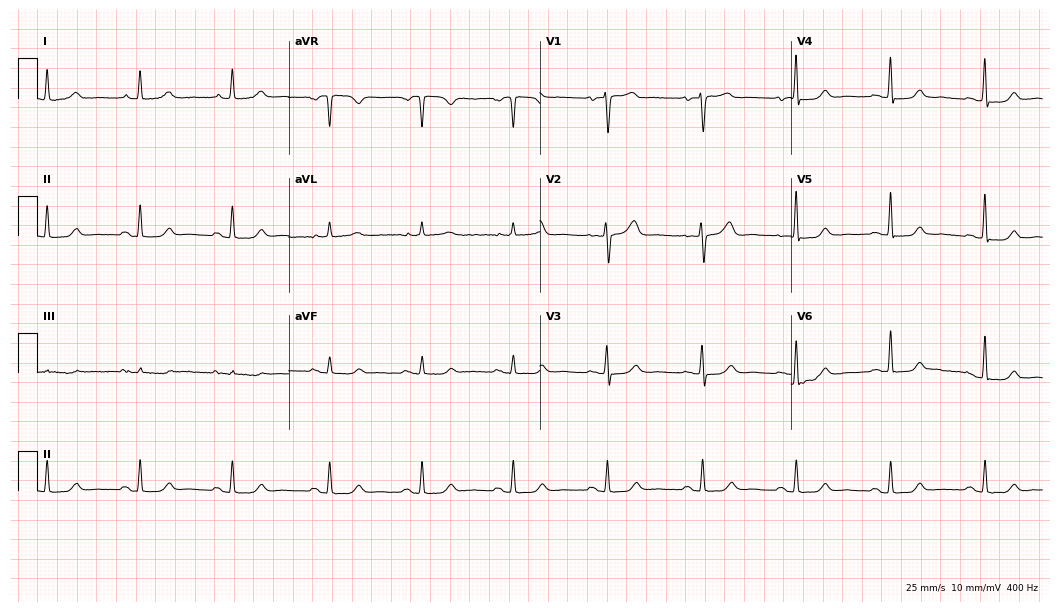
Resting 12-lead electrocardiogram (10.2-second recording at 400 Hz). Patient: a 63-year-old woman. None of these six findings is recorded: first-degree AV block, right bundle branch block, left bundle branch block, sinus bradycardia, atrial fibrillation, sinus tachycardia. Only these six findings were labelled.